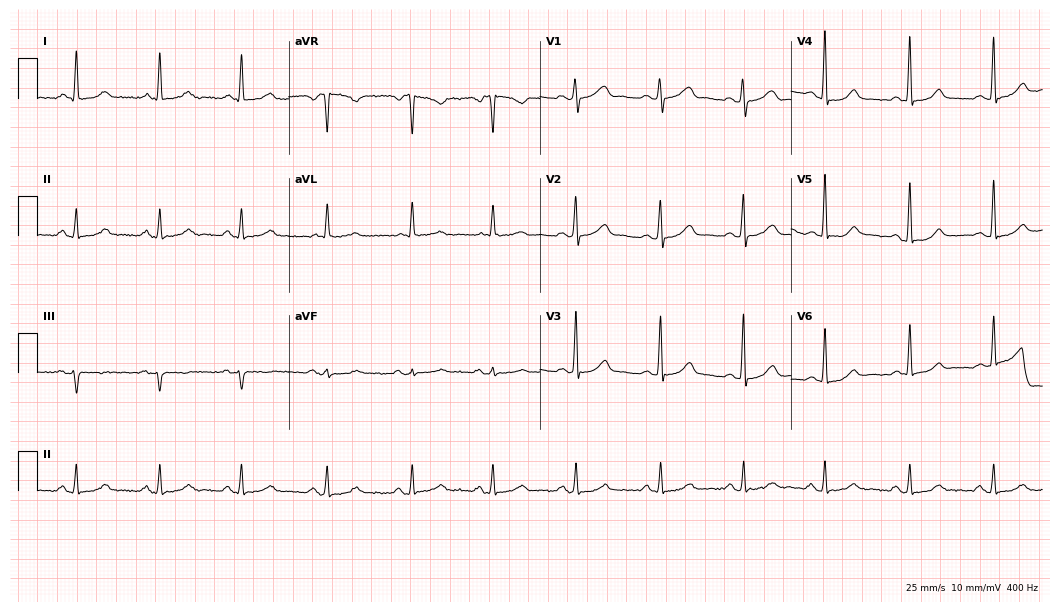
12-lead ECG from a 53-year-old woman (10.2-second recording at 400 Hz). No first-degree AV block, right bundle branch block (RBBB), left bundle branch block (LBBB), sinus bradycardia, atrial fibrillation (AF) or sinus tachycardia recorded for this tracing.